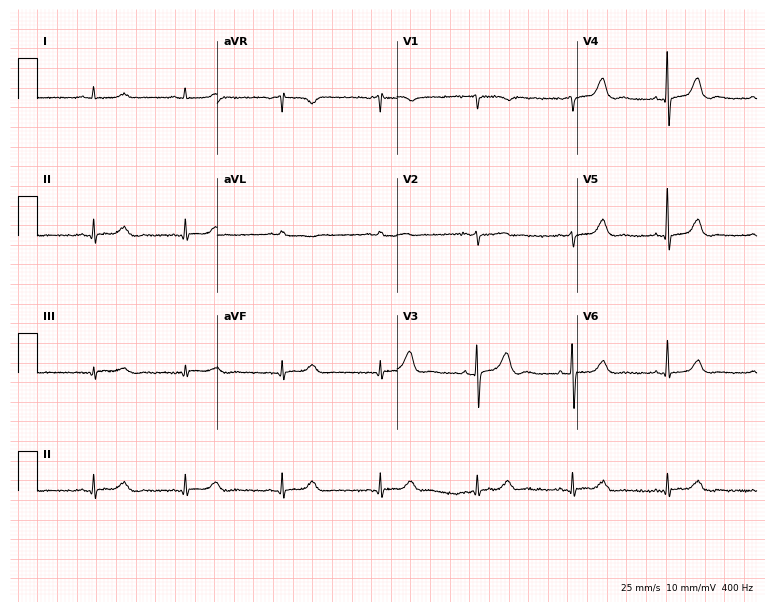
Standard 12-lead ECG recorded from a 64-year-old female (7.3-second recording at 400 Hz). None of these six findings is recorded: first-degree AV block, right bundle branch block, left bundle branch block, sinus bradycardia, atrial fibrillation, sinus tachycardia. Other findings, if any, are not listed.